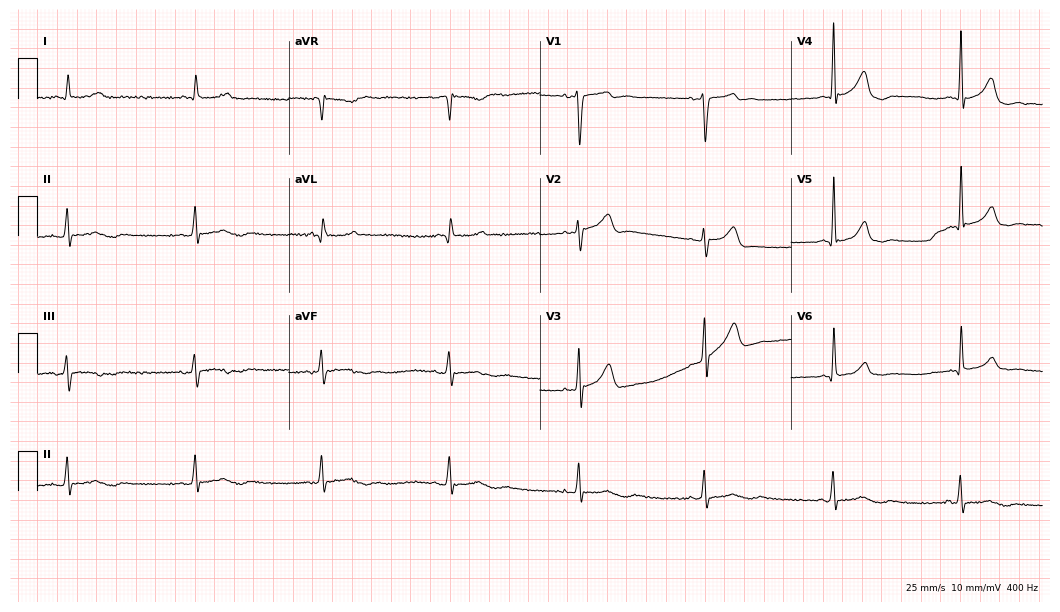
12-lead ECG from a 69-year-old male (10.2-second recording at 400 Hz). Shows sinus bradycardia (a sinus rate of 50 beats per minute or less).